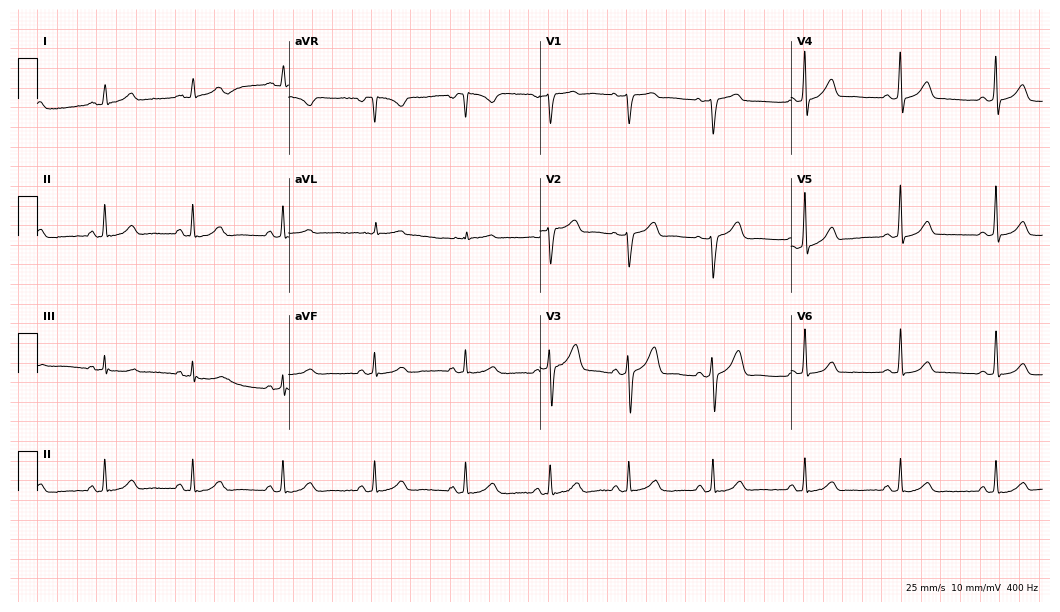
Standard 12-lead ECG recorded from a woman, 46 years old. None of these six findings is recorded: first-degree AV block, right bundle branch block (RBBB), left bundle branch block (LBBB), sinus bradycardia, atrial fibrillation (AF), sinus tachycardia.